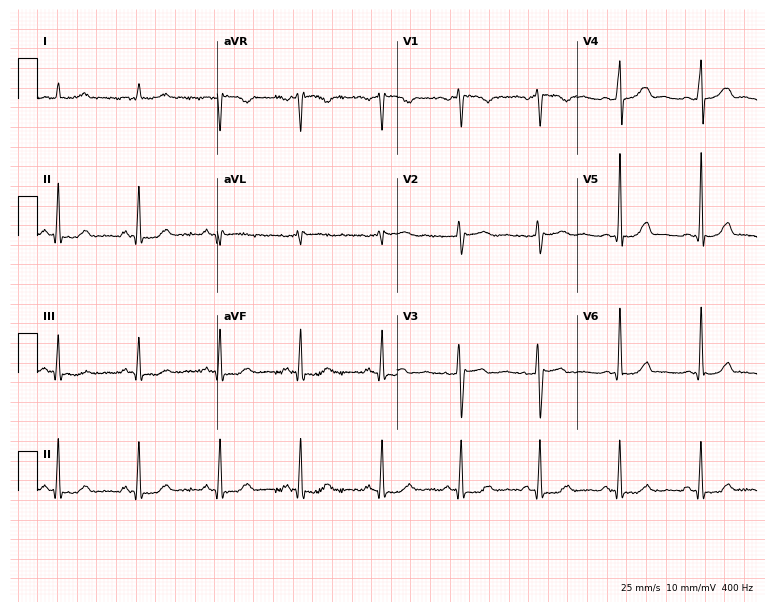
Standard 12-lead ECG recorded from a 47-year-old woman (7.3-second recording at 400 Hz). Read as a normal ECG.